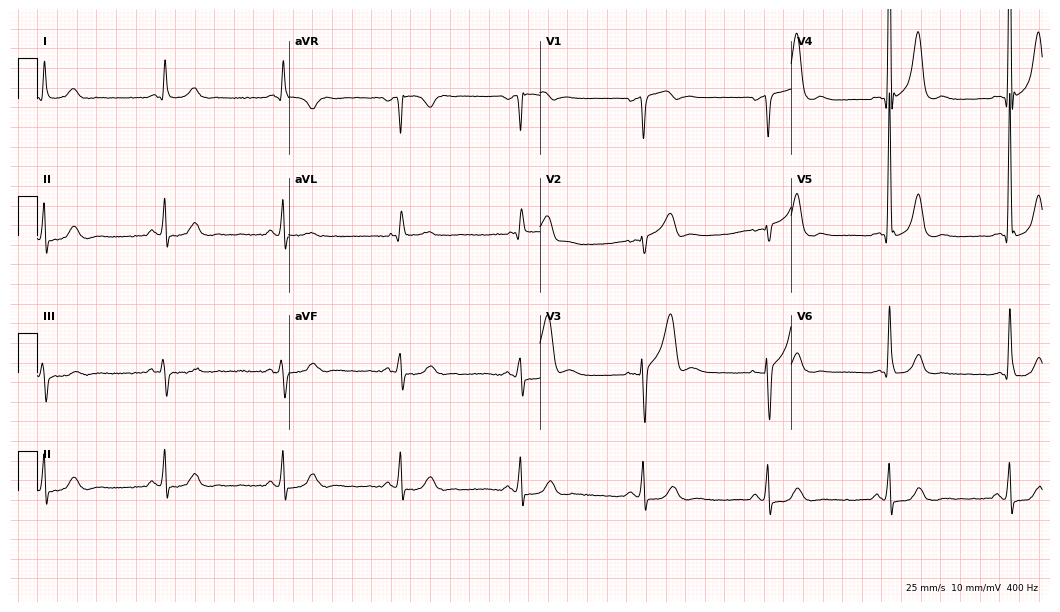
Resting 12-lead electrocardiogram (10.2-second recording at 400 Hz). Patient: a 65-year-old male. None of these six findings is recorded: first-degree AV block, right bundle branch block, left bundle branch block, sinus bradycardia, atrial fibrillation, sinus tachycardia.